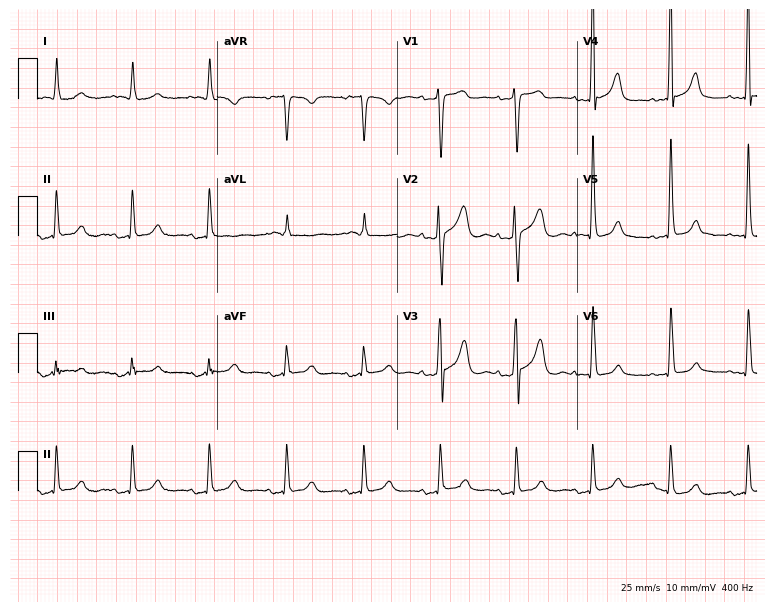
Resting 12-lead electrocardiogram (7.3-second recording at 400 Hz). Patient: a woman, 69 years old. None of these six findings is recorded: first-degree AV block, right bundle branch block, left bundle branch block, sinus bradycardia, atrial fibrillation, sinus tachycardia. Only these six findings were labelled.